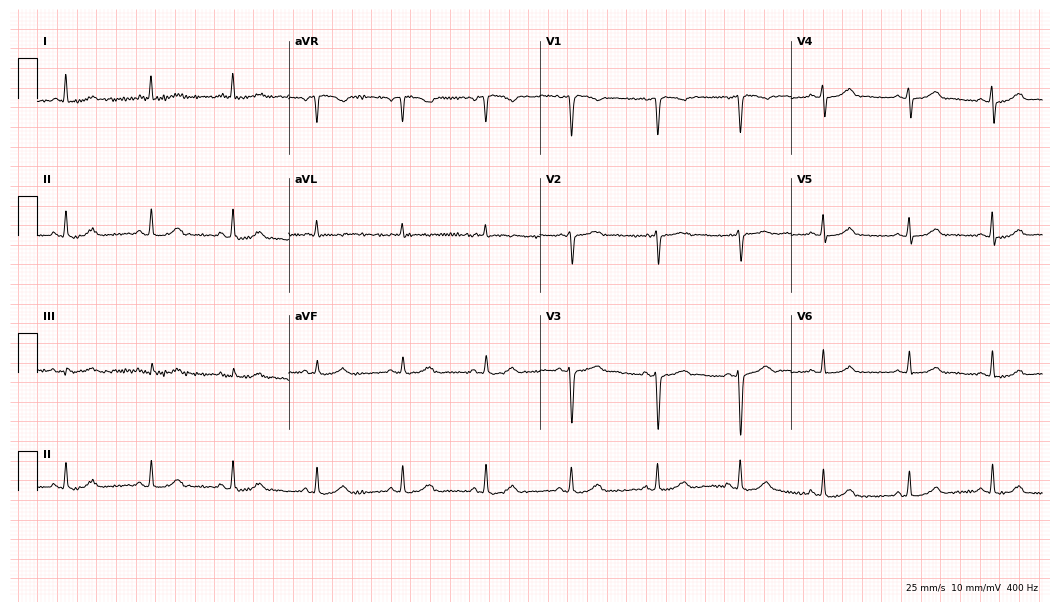
Resting 12-lead electrocardiogram (10.2-second recording at 400 Hz). Patient: a 42-year-old female. Read as a normal ECG.